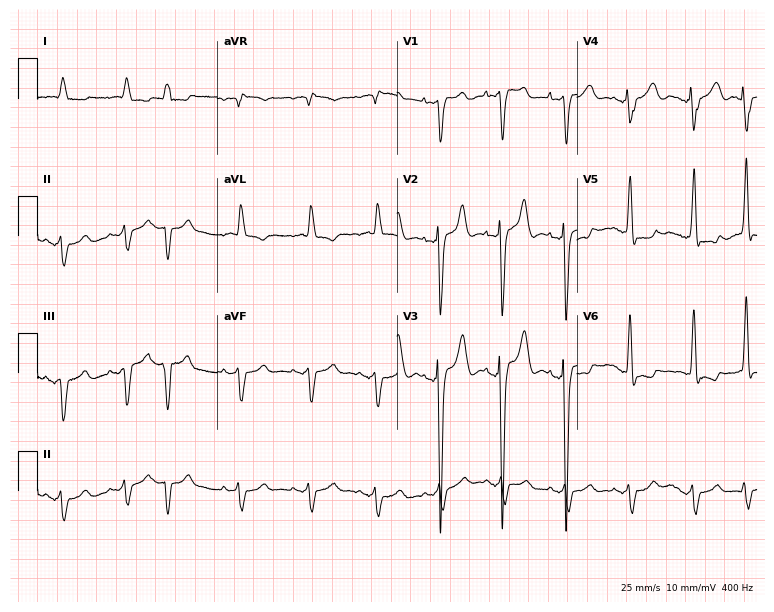
12-lead ECG from an 81-year-old male. Screened for six findings — first-degree AV block, right bundle branch block, left bundle branch block, sinus bradycardia, atrial fibrillation, sinus tachycardia — none is recorded. Only these six findings were labelled.